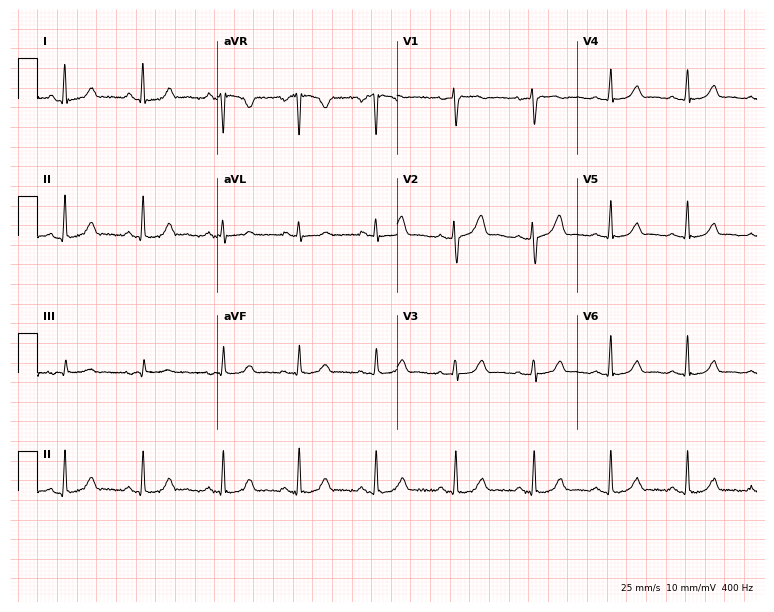
Electrocardiogram, a female patient, 33 years old. Overall reading on record: normal ECG.